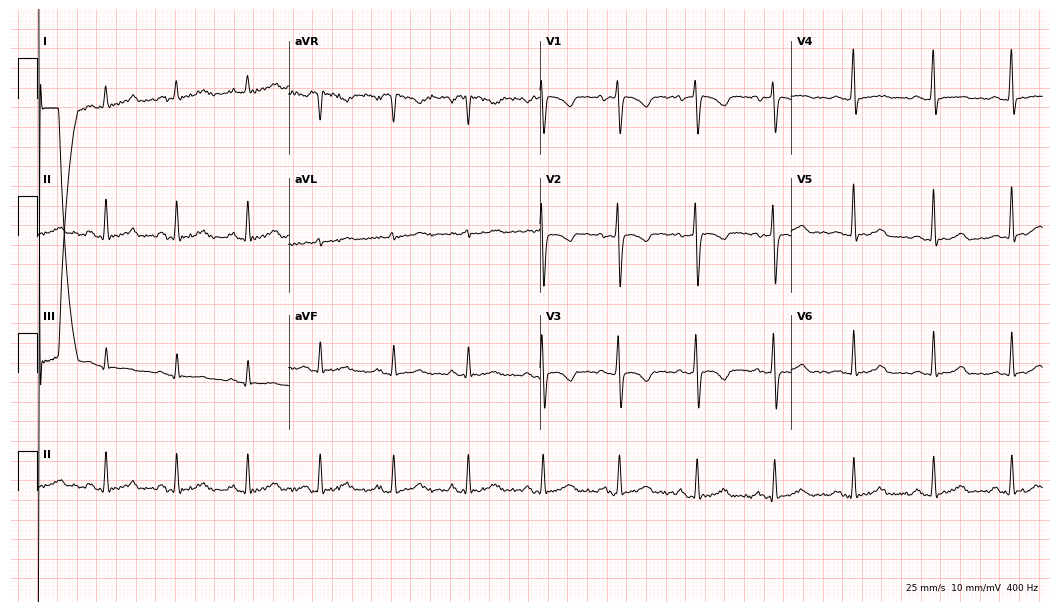
Standard 12-lead ECG recorded from a 33-year-old female patient. None of these six findings is recorded: first-degree AV block, right bundle branch block (RBBB), left bundle branch block (LBBB), sinus bradycardia, atrial fibrillation (AF), sinus tachycardia. Only these six findings were labelled.